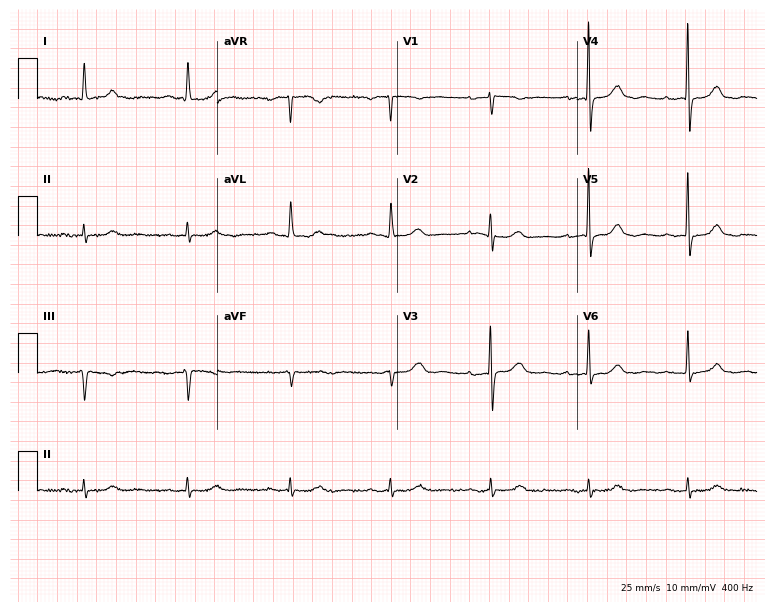
Resting 12-lead electrocardiogram (7.3-second recording at 400 Hz). Patient: a 73-year-old woman. The tracing shows first-degree AV block.